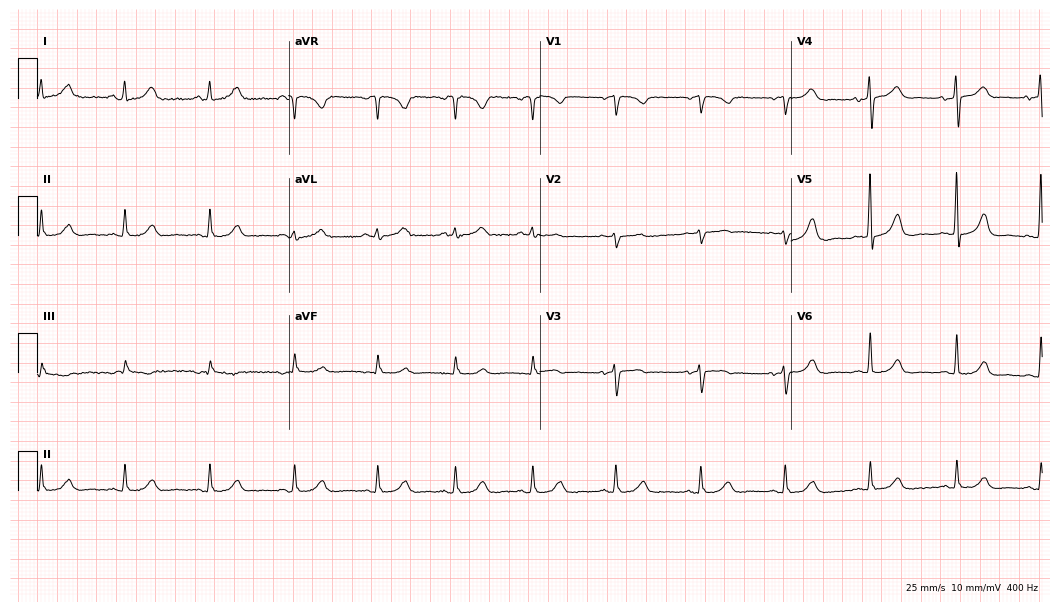
12-lead ECG from a female, 61 years old. Labelled as a normal ECG.